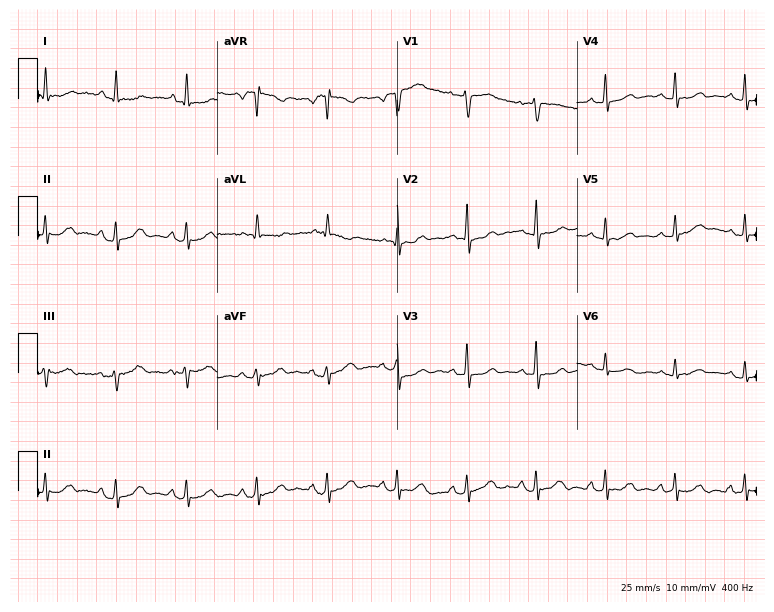
12-lead ECG (7.3-second recording at 400 Hz) from a female, 68 years old. Screened for six findings — first-degree AV block, right bundle branch block (RBBB), left bundle branch block (LBBB), sinus bradycardia, atrial fibrillation (AF), sinus tachycardia — none is recorded. Findings outside these six are not listed.